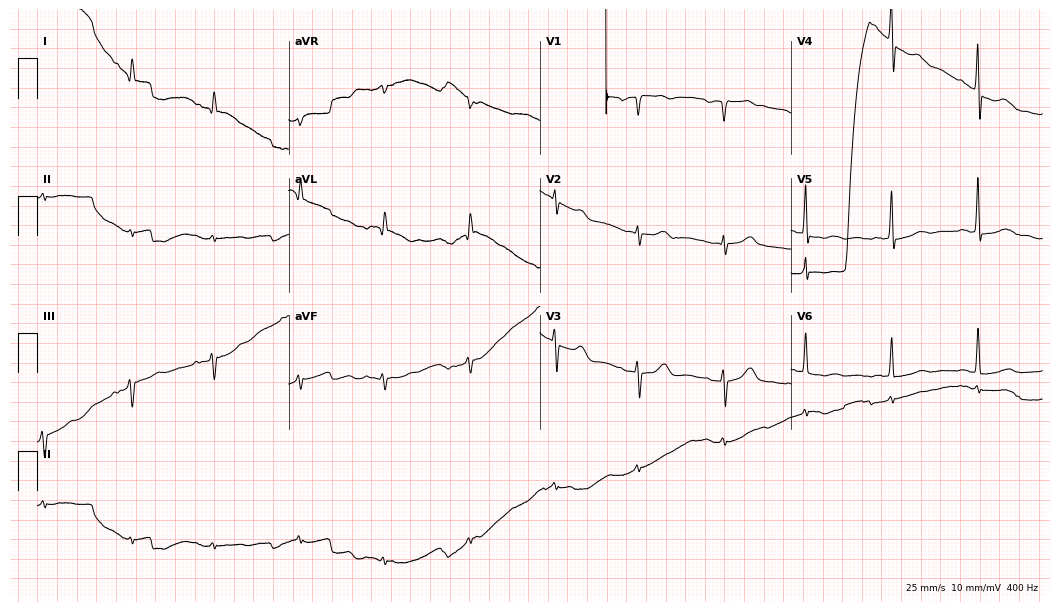
12-lead ECG from a male patient, 81 years old. Screened for six findings — first-degree AV block, right bundle branch block, left bundle branch block, sinus bradycardia, atrial fibrillation, sinus tachycardia — none is recorded.